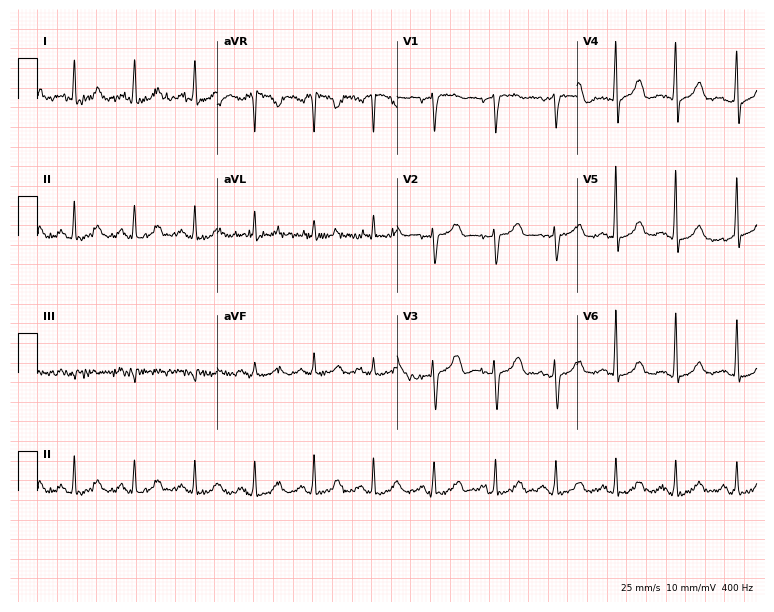
Resting 12-lead electrocardiogram. Patient: a male, 51 years old. None of these six findings is recorded: first-degree AV block, right bundle branch block, left bundle branch block, sinus bradycardia, atrial fibrillation, sinus tachycardia.